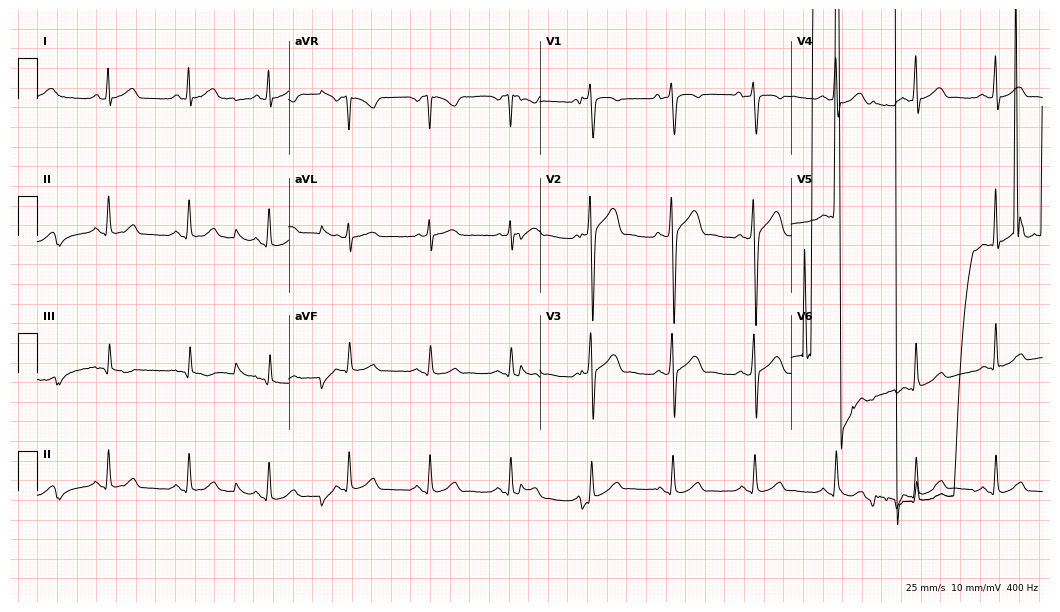
Standard 12-lead ECG recorded from a man, 48 years old (10.2-second recording at 400 Hz). None of these six findings is recorded: first-degree AV block, right bundle branch block, left bundle branch block, sinus bradycardia, atrial fibrillation, sinus tachycardia. Only these six findings were labelled.